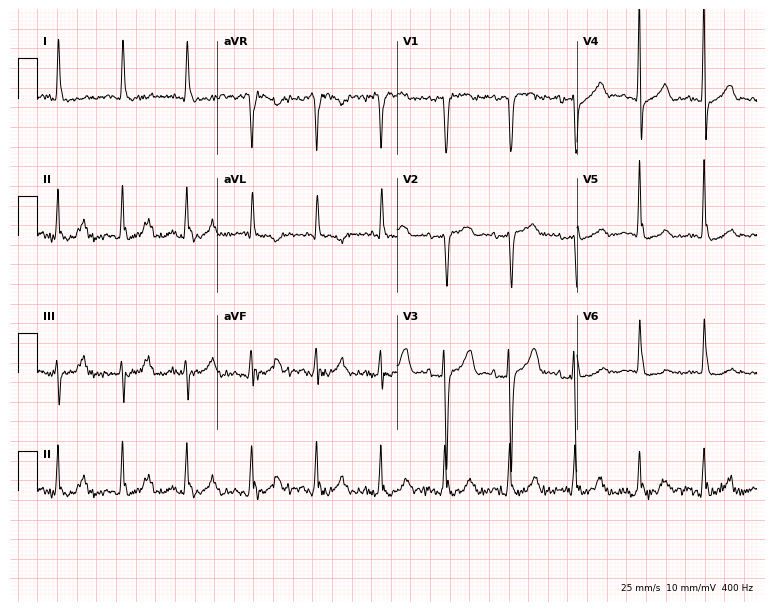
Electrocardiogram (7.3-second recording at 400 Hz), a woman, 84 years old. Of the six screened findings (first-degree AV block, right bundle branch block, left bundle branch block, sinus bradycardia, atrial fibrillation, sinus tachycardia), none is recorded. Only these six findings were labelled.